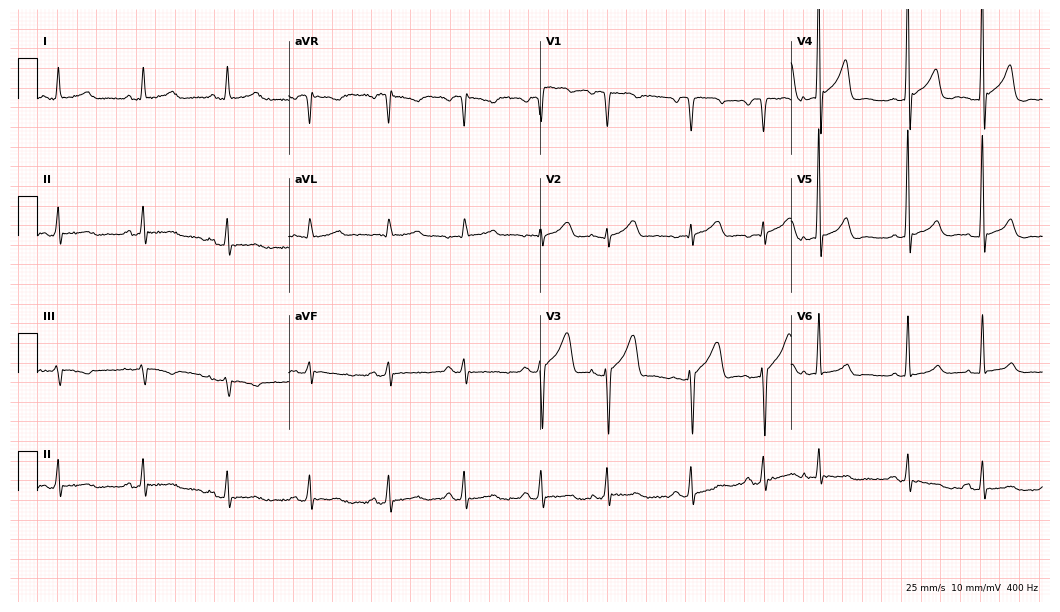
Electrocardiogram, a 64-year-old man. Overall reading on record: normal ECG.